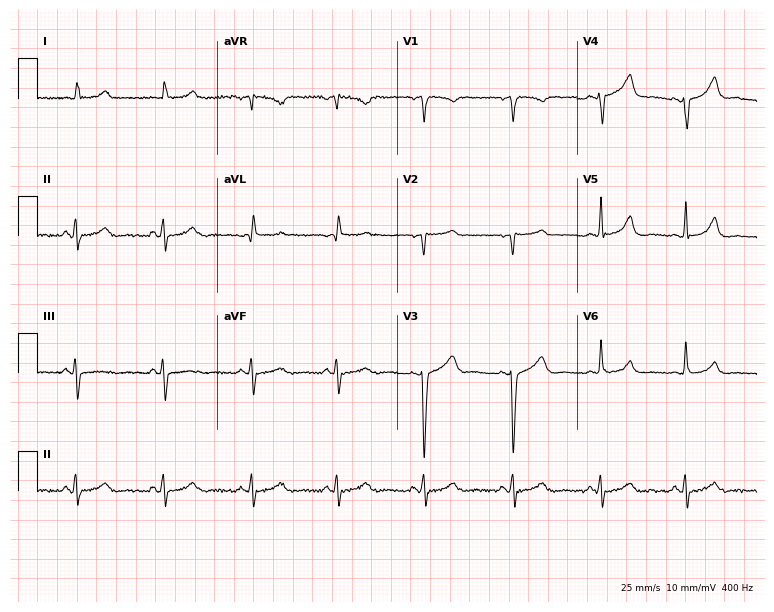
Resting 12-lead electrocardiogram (7.3-second recording at 400 Hz). Patient: a male, 63 years old. Read as a normal ECG.